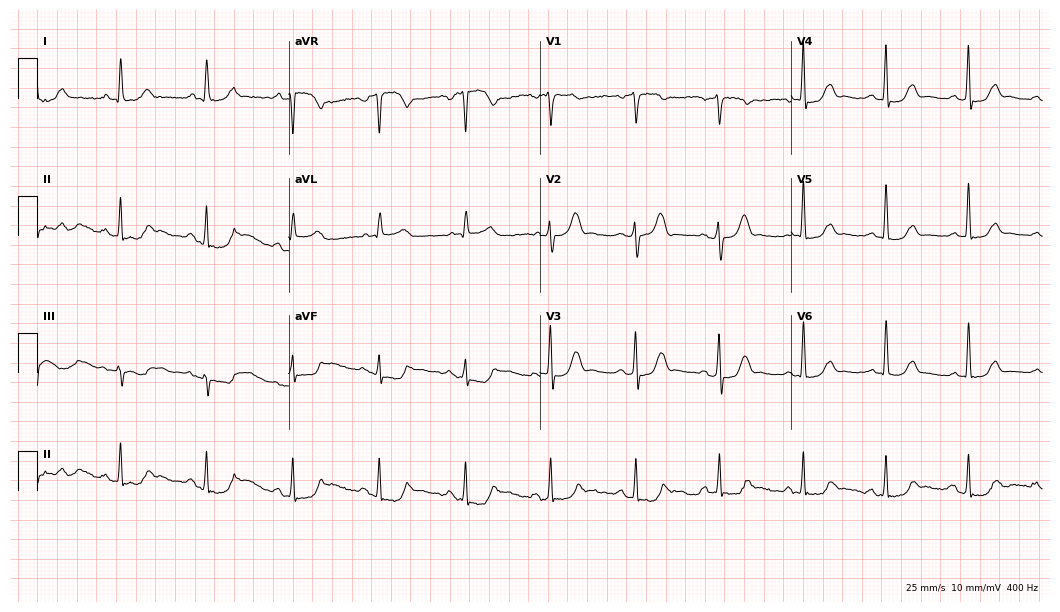
Standard 12-lead ECG recorded from a woman, 60 years old (10.2-second recording at 400 Hz). None of these six findings is recorded: first-degree AV block, right bundle branch block, left bundle branch block, sinus bradycardia, atrial fibrillation, sinus tachycardia. Other findings, if any, are not listed.